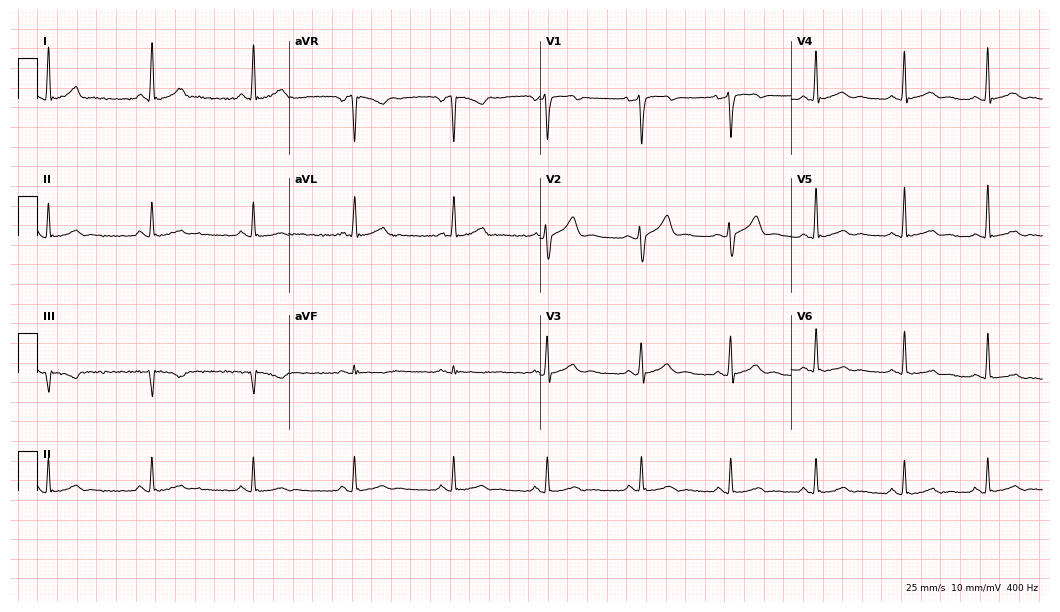
Electrocardiogram (10.2-second recording at 400 Hz), a 28-year-old male. Overall reading on record: normal ECG.